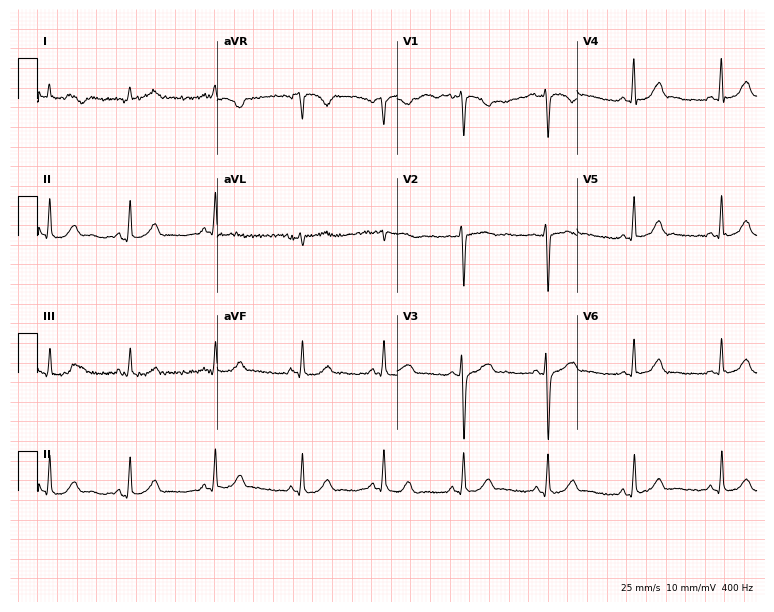
12-lead ECG from a 30-year-old female. Labelled as a normal ECG.